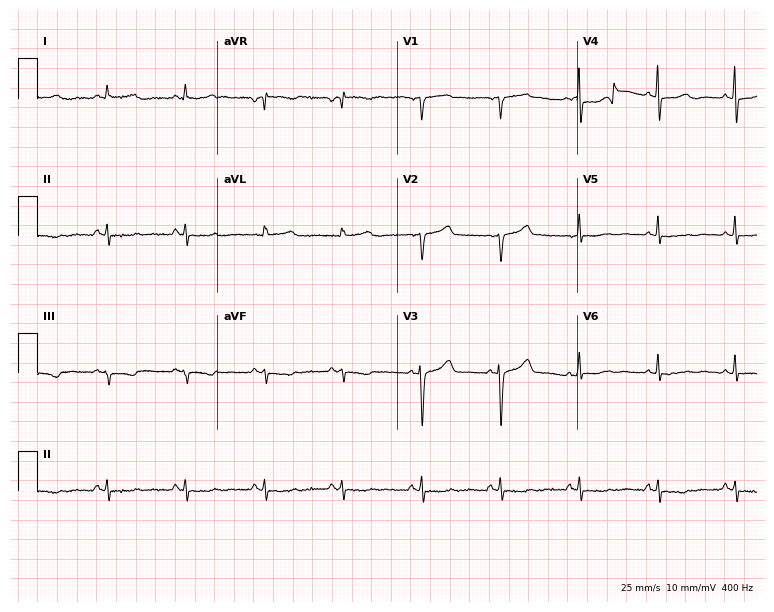
Resting 12-lead electrocardiogram. Patient: a 44-year-old woman. Read as a normal ECG.